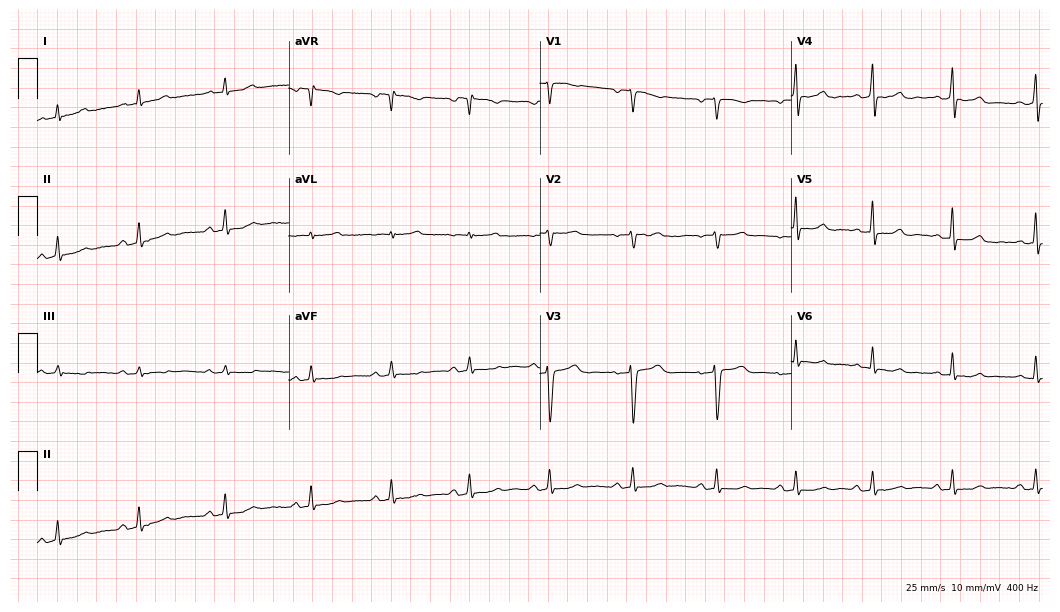
Electrocardiogram, a female patient, 35 years old. Overall reading on record: normal ECG.